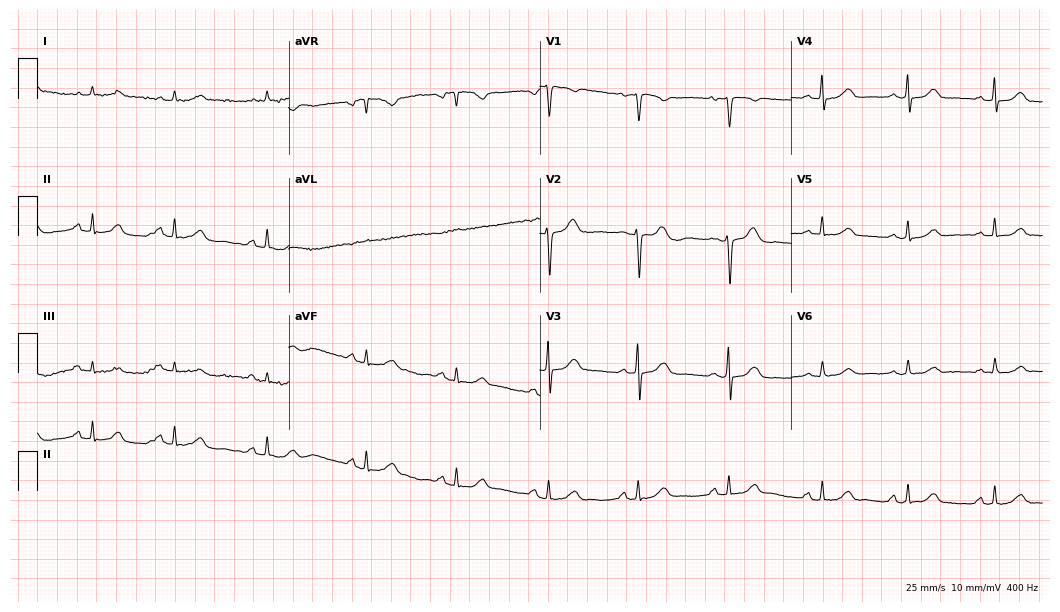
Standard 12-lead ECG recorded from a female, 58 years old (10.2-second recording at 400 Hz). None of these six findings is recorded: first-degree AV block, right bundle branch block, left bundle branch block, sinus bradycardia, atrial fibrillation, sinus tachycardia. Other findings, if any, are not listed.